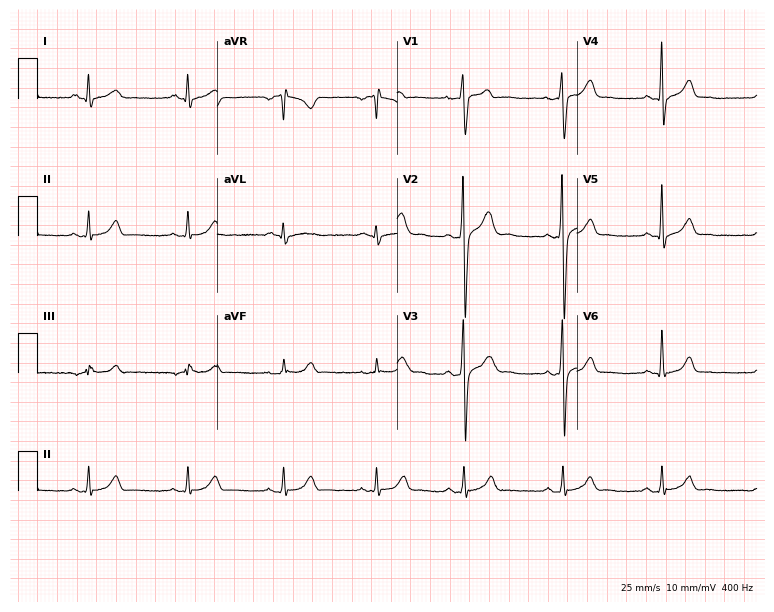
Resting 12-lead electrocardiogram (7.3-second recording at 400 Hz). Patient: a 39-year-old male. Read as a normal ECG.